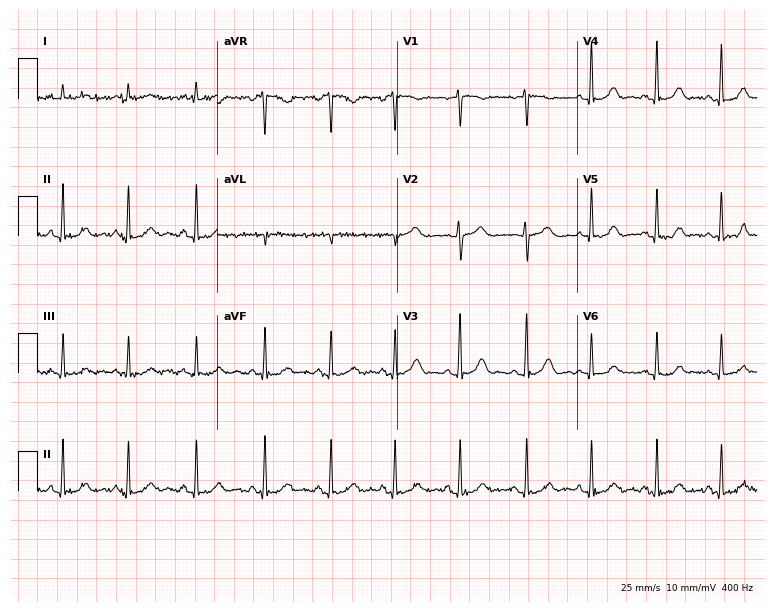
12-lead ECG (7.3-second recording at 400 Hz) from a female, 32 years old. Labelled as a normal ECG.